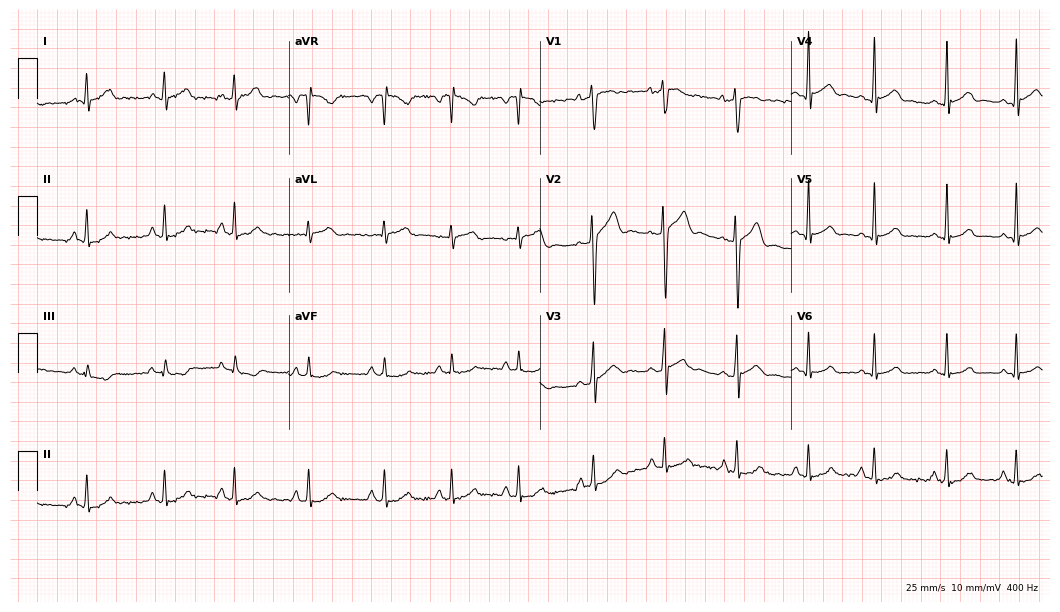
12-lead ECG (10.2-second recording at 400 Hz) from a male patient, 18 years old. Labelled as a normal ECG.